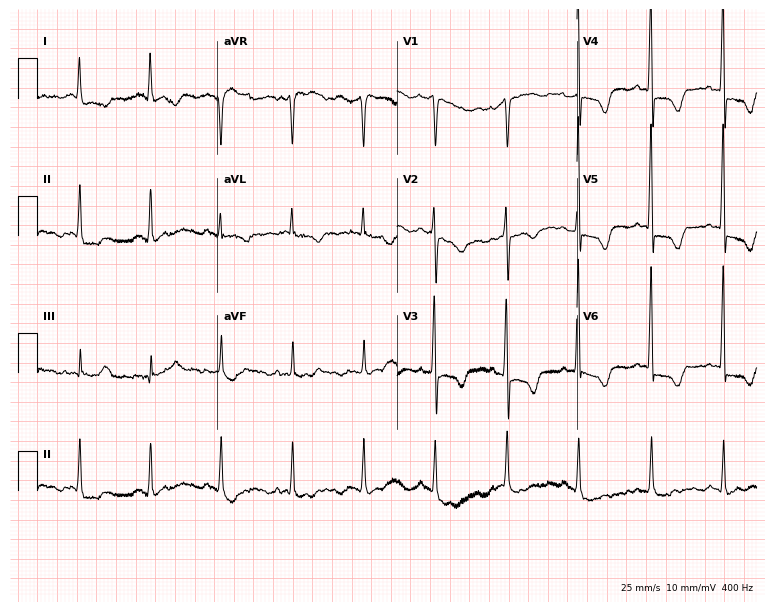
12-lead ECG from a female patient, 84 years old (7.3-second recording at 400 Hz). No first-degree AV block, right bundle branch block (RBBB), left bundle branch block (LBBB), sinus bradycardia, atrial fibrillation (AF) or sinus tachycardia recorded for this tracing. Only these six findings were labelled.